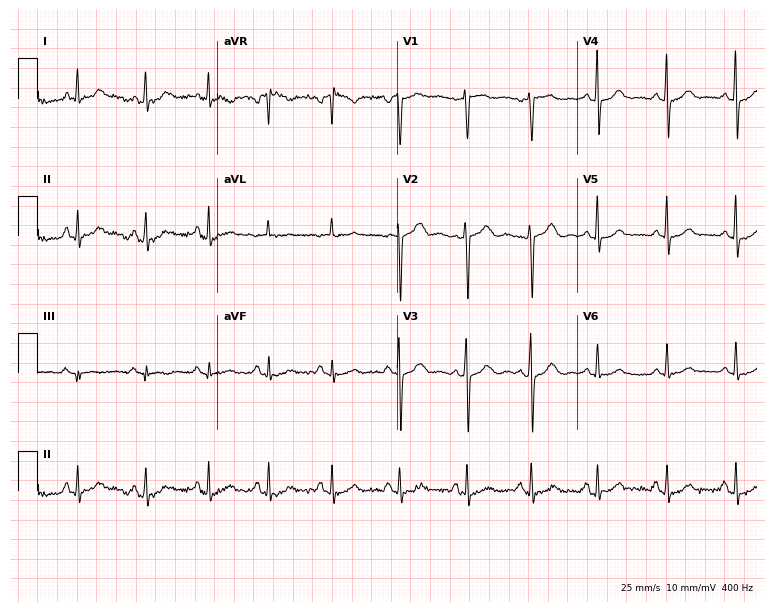
Resting 12-lead electrocardiogram (7.3-second recording at 400 Hz). Patient: a woman, 54 years old. None of these six findings is recorded: first-degree AV block, right bundle branch block (RBBB), left bundle branch block (LBBB), sinus bradycardia, atrial fibrillation (AF), sinus tachycardia. Only these six findings were labelled.